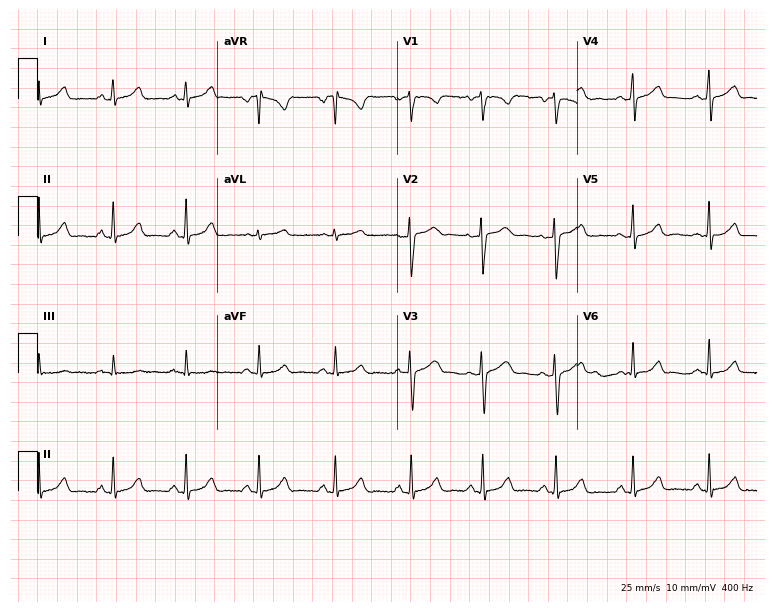
12-lead ECG (7.3-second recording at 400 Hz) from a woman, 28 years old. Labelled as a normal ECG.